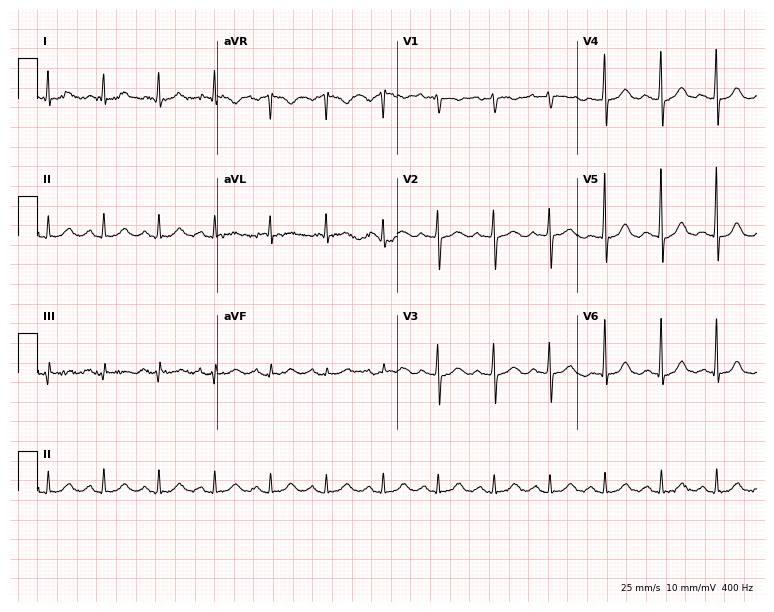
Electrocardiogram, a 68-year-old female patient. Interpretation includes sinus tachycardia (a sinus rate of 100 beats per minute or more).